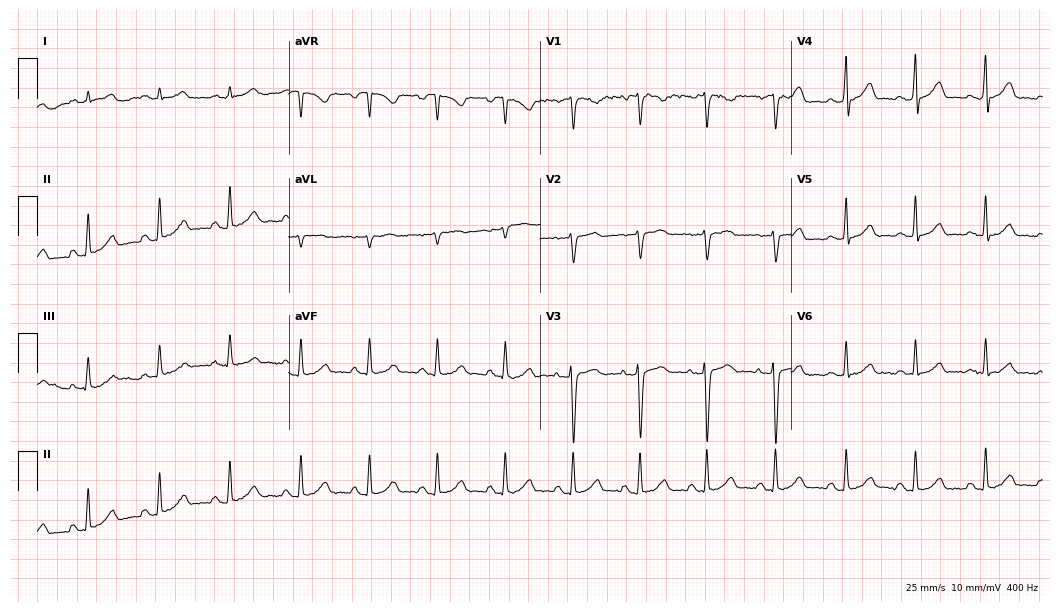
12-lead ECG (10.2-second recording at 400 Hz) from a 30-year-old female patient. Labelled as a normal ECG.